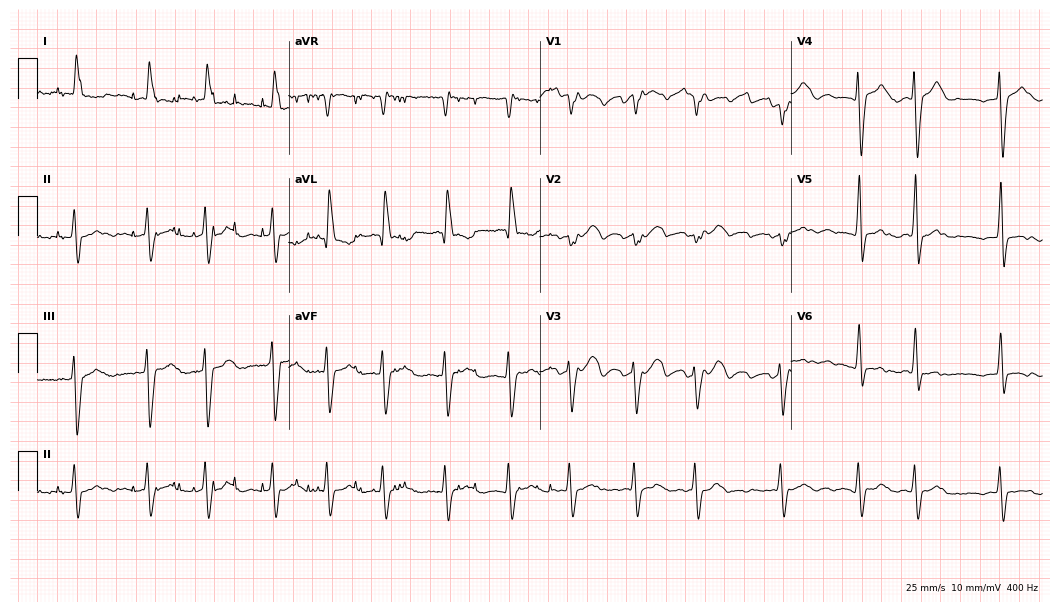
Resting 12-lead electrocardiogram. Patient: an 80-year-old female. None of these six findings is recorded: first-degree AV block, right bundle branch block (RBBB), left bundle branch block (LBBB), sinus bradycardia, atrial fibrillation (AF), sinus tachycardia. Other findings, if any, are not listed.